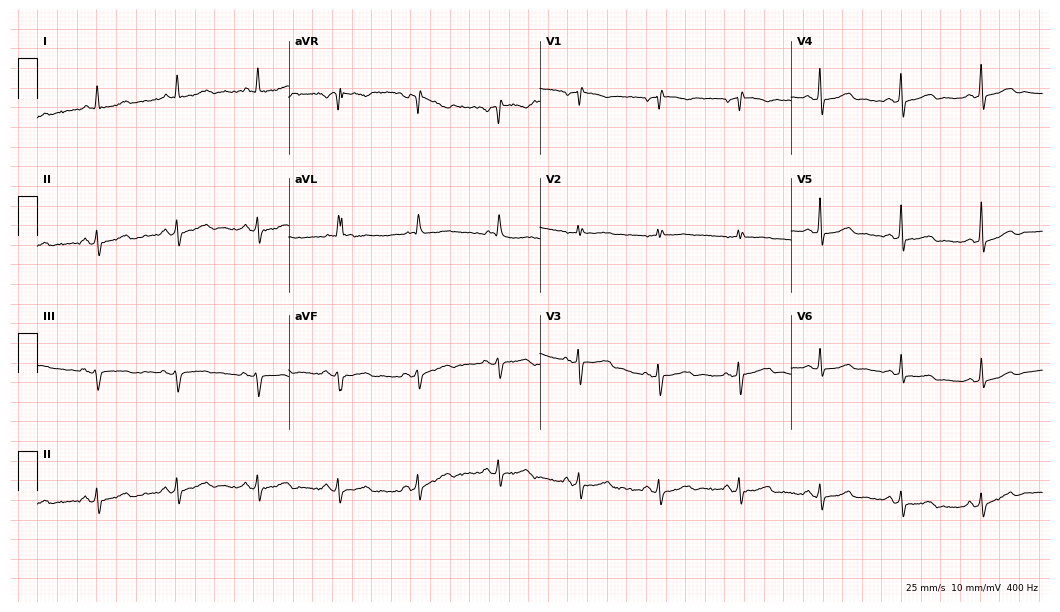
Electrocardiogram (10.2-second recording at 400 Hz), an 81-year-old woman. Of the six screened findings (first-degree AV block, right bundle branch block, left bundle branch block, sinus bradycardia, atrial fibrillation, sinus tachycardia), none is recorded.